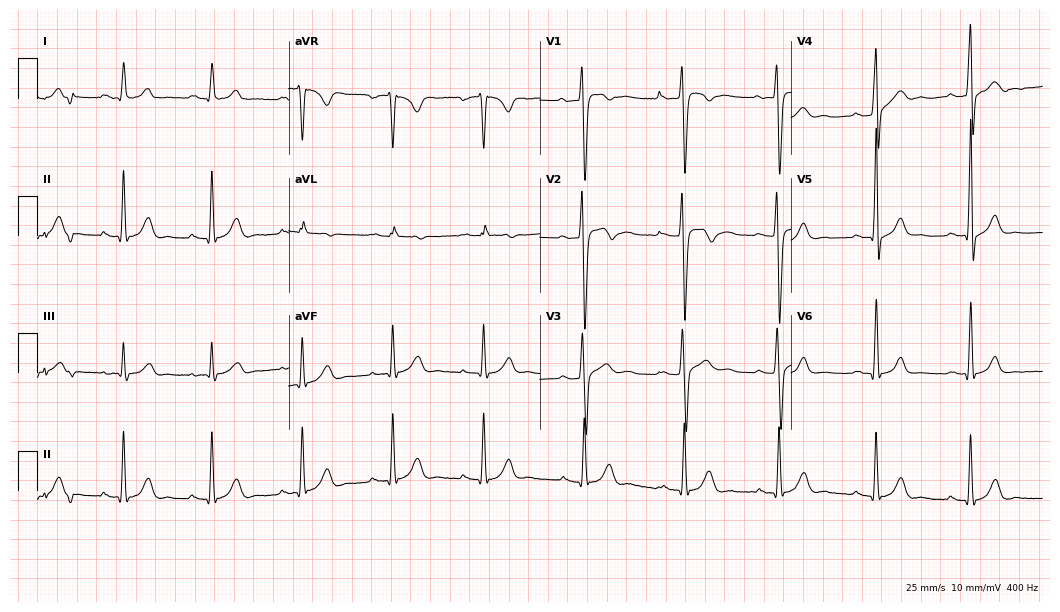
12-lead ECG (10.2-second recording at 400 Hz) from a 26-year-old male patient. Screened for six findings — first-degree AV block, right bundle branch block, left bundle branch block, sinus bradycardia, atrial fibrillation, sinus tachycardia — none is recorded.